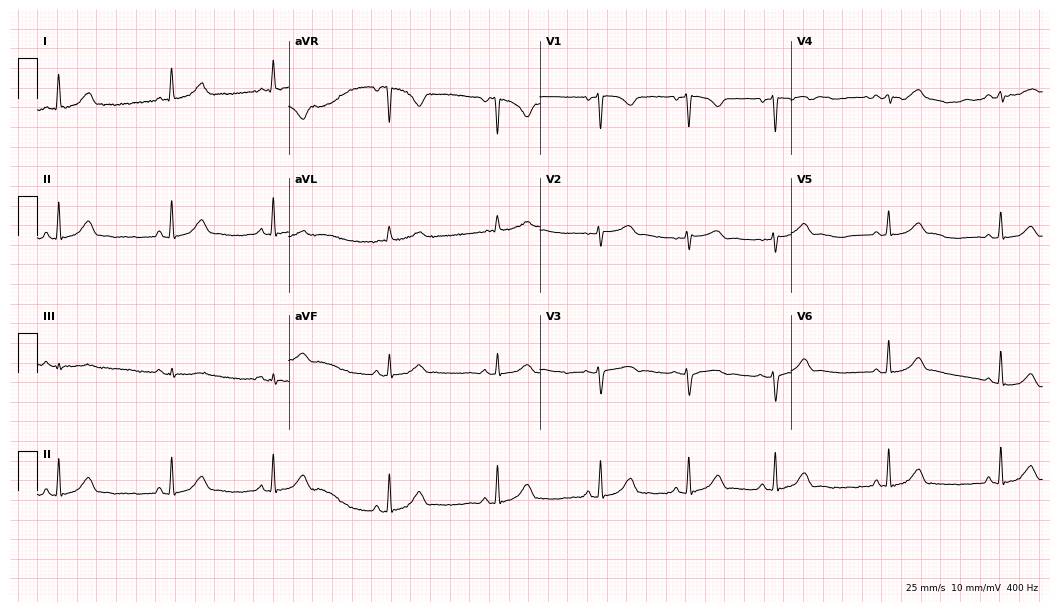
12-lead ECG from a 27-year-old female patient. No first-degree AV block, right bundle branch block, left bundle branch block, sinus bradycardia, atrial fibrillation or sinus tachycardia recorded for this tracing. Only these six findings were labelled.